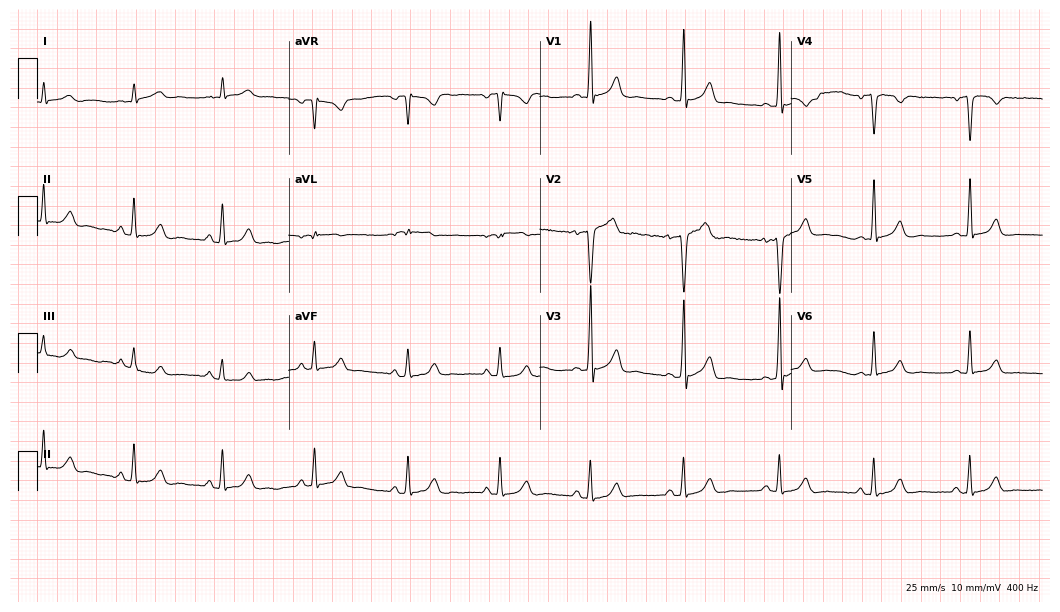
12-lead ECG from a male patient, 34 years old (10.2-second recording at 400 Hz). No first-degree AV block, right bundle branch block, left bundle branch block, sinus bradycardia, atrial fibrillation or sinus tachycardia recorded for this tracing. Only these six findings were labelled.